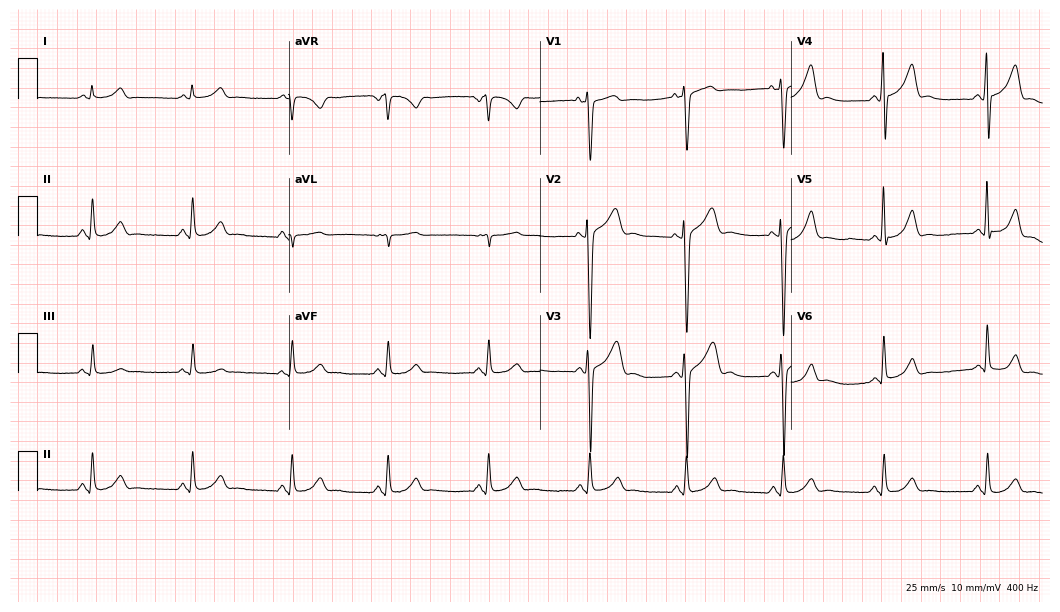
Electrocardiogram (10.2-second recording at 400 Hz), a female patient, 53 years old. Of the six screened findings (first-degree AV block, right bundle branch block (RBBB), left bundle branch block (LBBB), sinus bradycardia, atrial fibrillation (AF), sinus tachycardia), none is recorded.